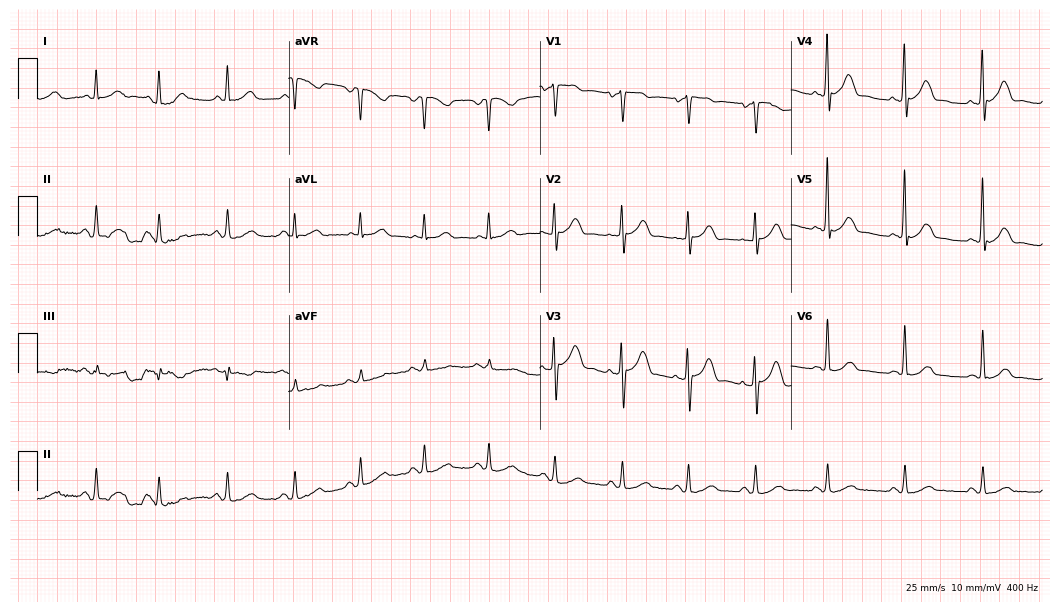
Electrocardiogram (10.2-second recording at 400 Hz), a 70-year-old female. Overall reading on record: normal ECG.